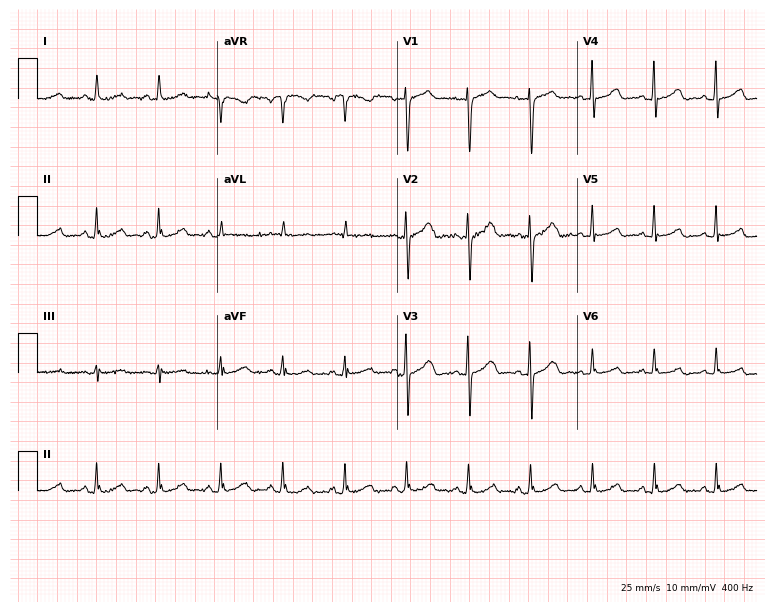
Standard 12-lead ECG recorded from a female, 81 years old. Read as a normal ECG.